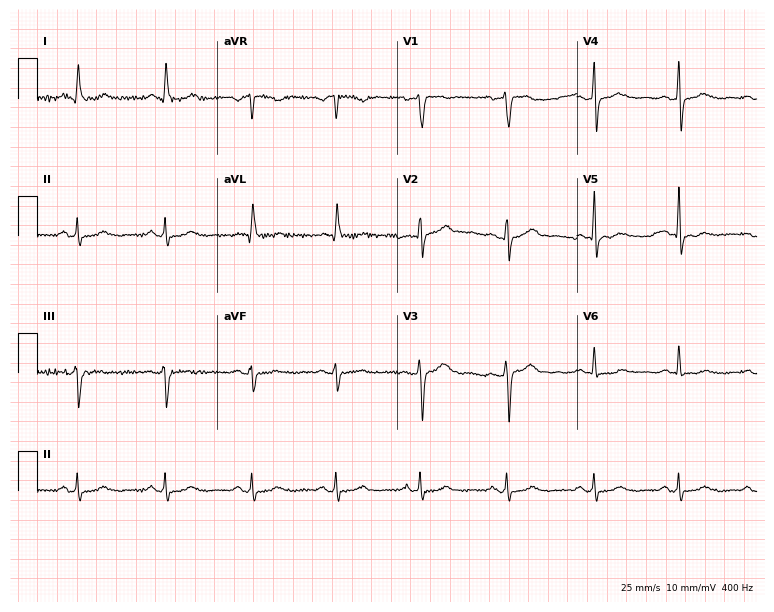
12-lead ECG (7.3-second recording at 400 Hz) from a female, 59 years old. Screened for six findings — first-degree AV block, right bundle branch block, left bundle branch block, sinus bradycardia, atrial fibrillation, sinus tachycardia — none is recorded.